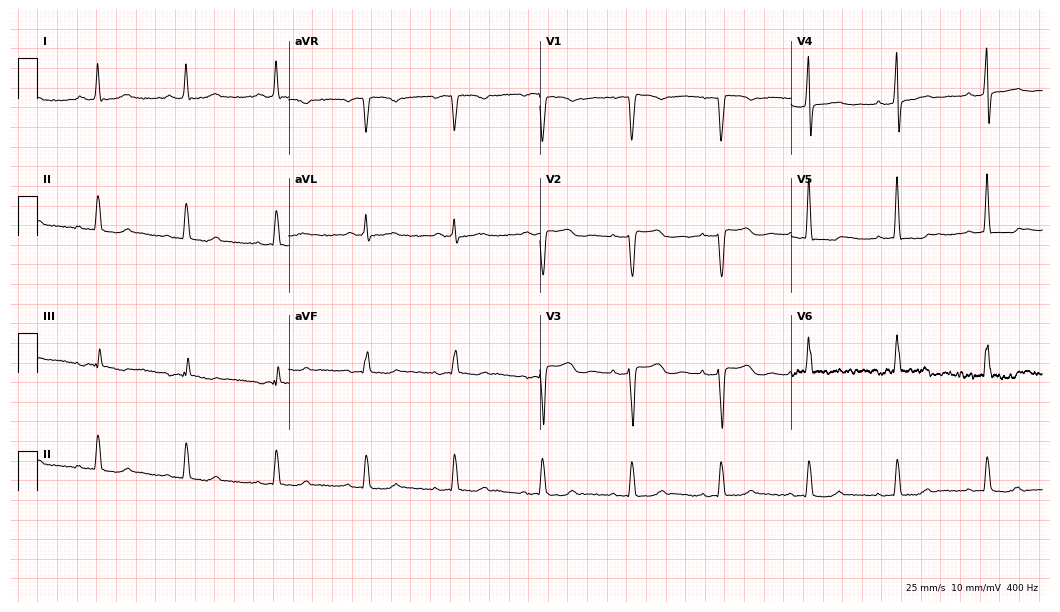
ECG — a 65-year-old female. Screened for six findings — first-degree AV block, right bundle branch block (RBBB), left bundle branch block (LBBB), sinus bradycardia, atrial fibrillation (AF), sinus tachycardia — none is recorded.